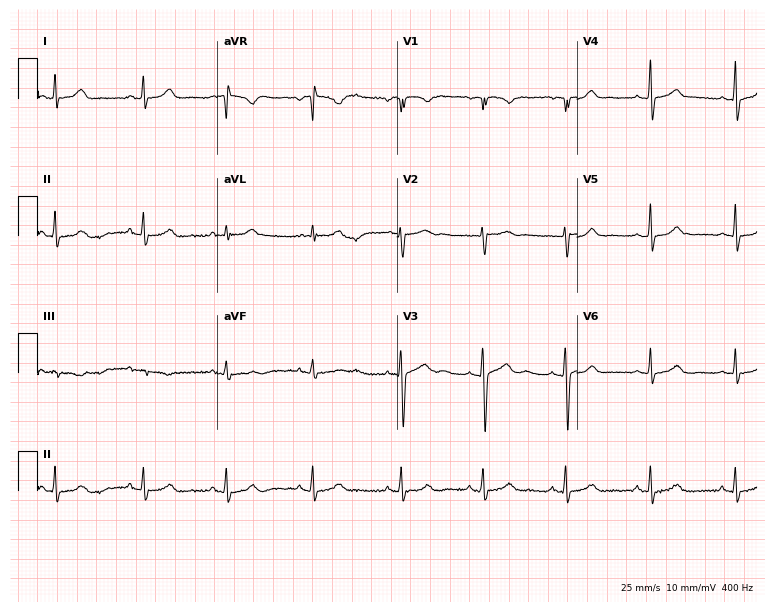
Standard 12-lead ECG recorded from a female, 23 years old (7.3-second recording at 400 Hz). Read as a normal ECG.